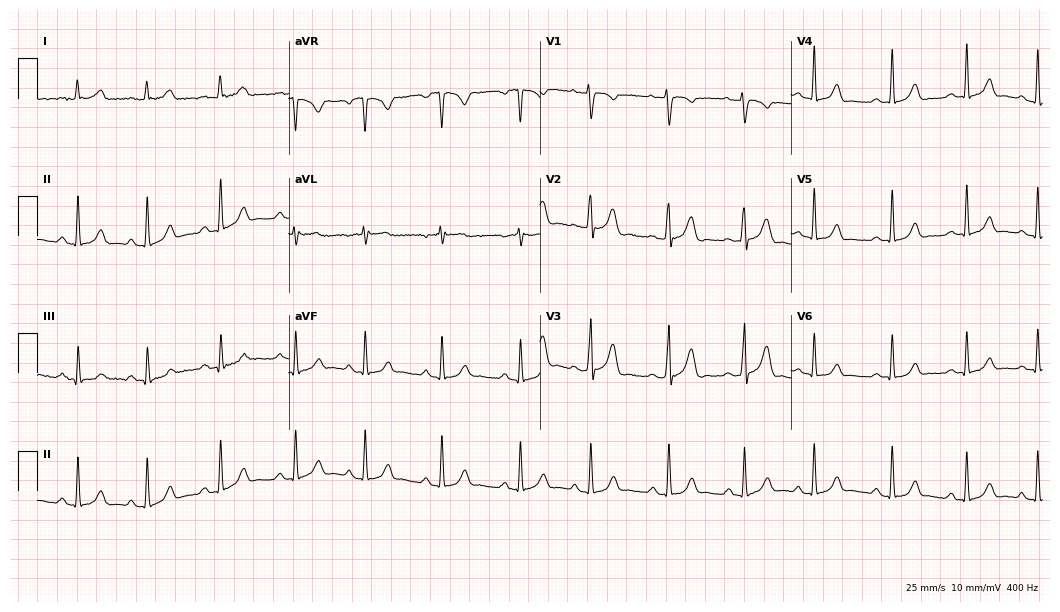
ECG (10.2-second recording at 400 Hz) — a female patient, 19 years old. Labelled as a normal ECG.